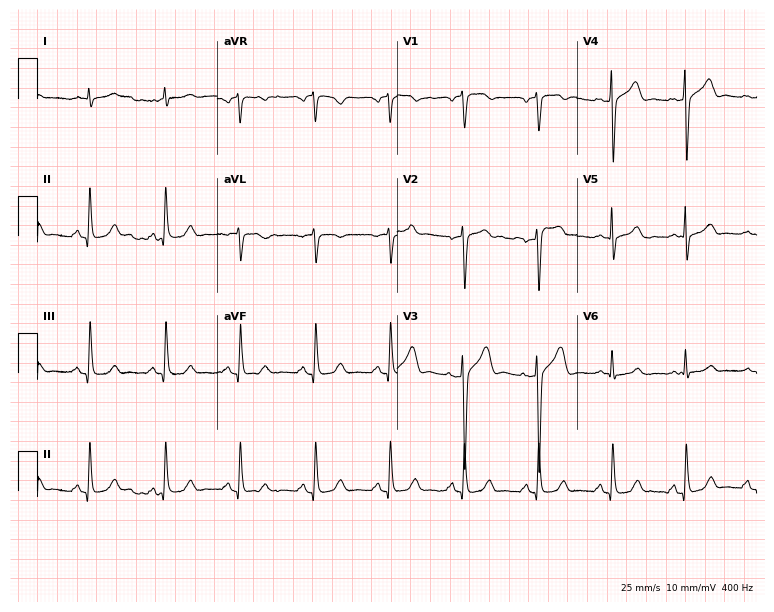
12-lead ECG from a 62-year-old male. Recorded interpretation: within normal limits.